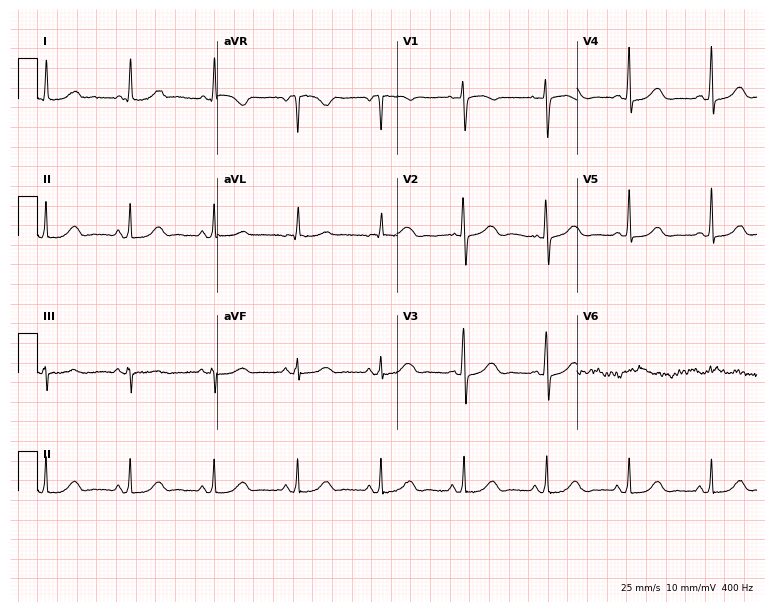
Resting 12-lead electrocardiogram (7.3-second recording at 400 Hz). Patient: a 71-year-old woman. Read as a normal ECG.